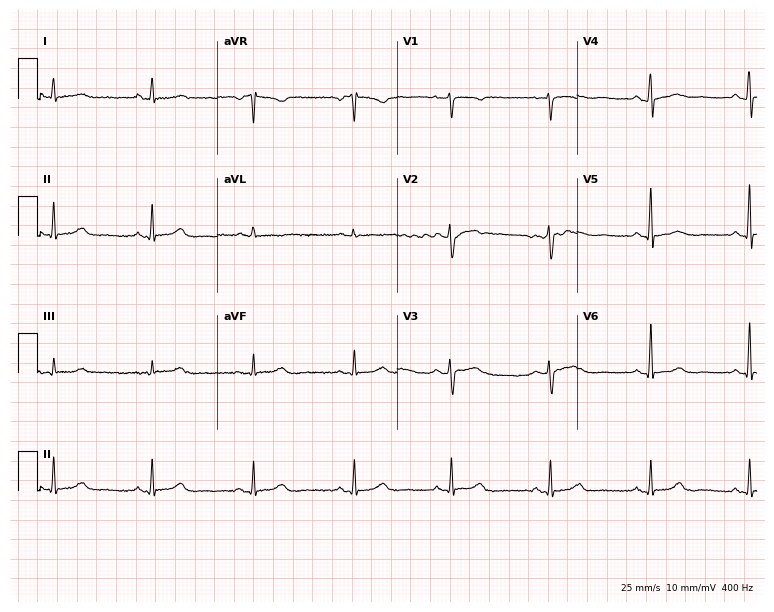
Electrocardiogram, a female, 55 years old. Overall reading on record: normal ECG.